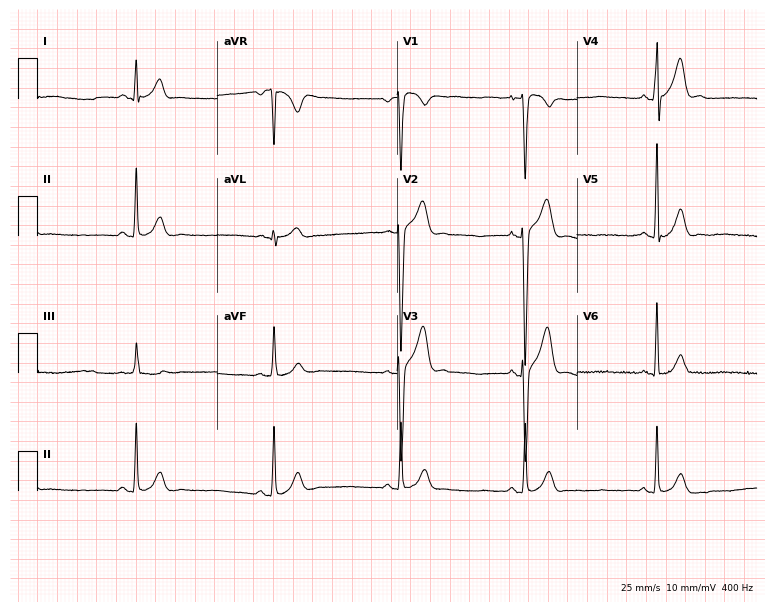
Resting 12-lead electrocardiogram. Patient: a man, 20 years old. Read as a normal ECG.